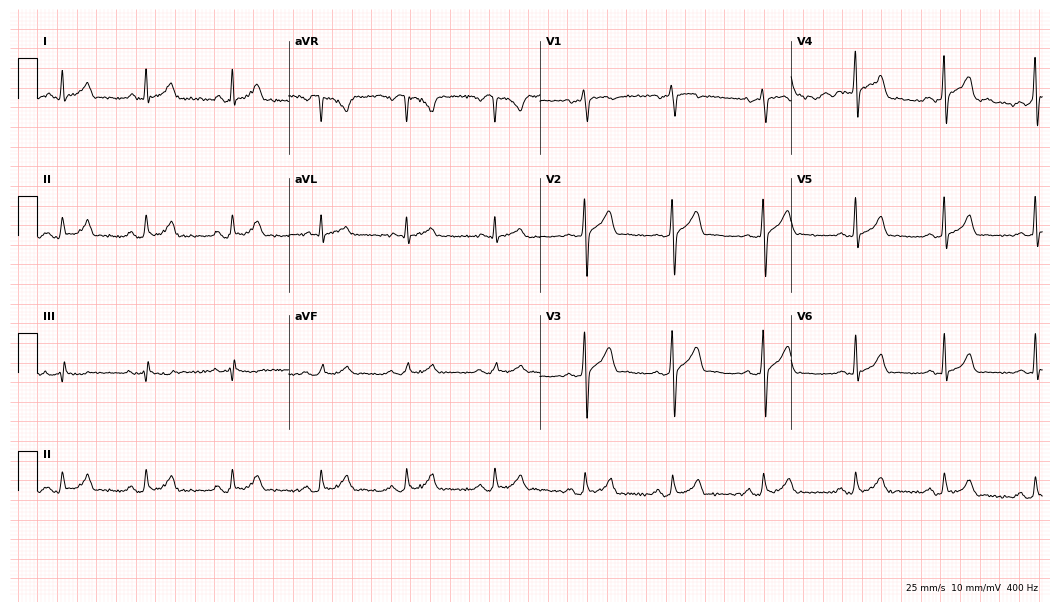
Resting 12-lead electrocardiogram (10.2-second recording at 400 Hz). Patient: a 36-year-old man. Read as a normal ECG.